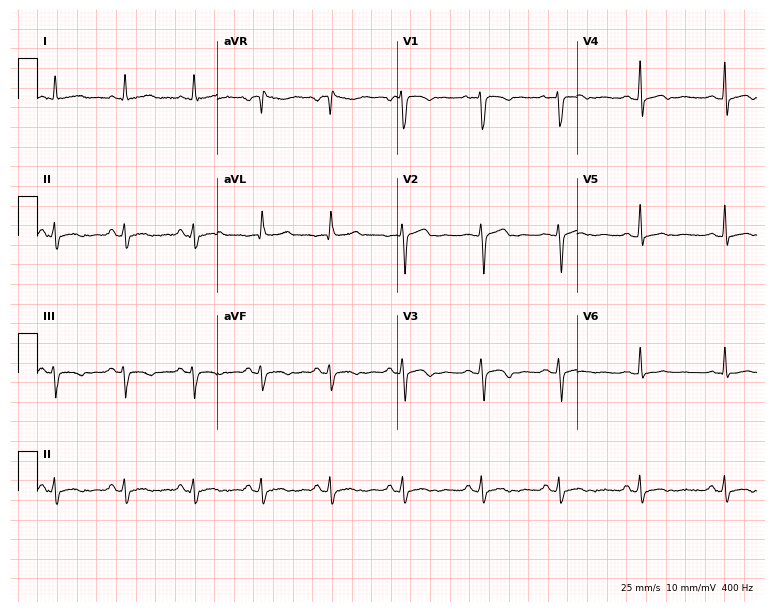
12-lead ECG (7.3-second recording at 400 Hz) from a 30-year-old female patient. Screened for six findings — first-degree AV block, right bundle branch block, left bundle branch block, sinus bradycardia, atrial fibrillation, sinus tachycardia — none is recorded. Findings outside these six are not listed.